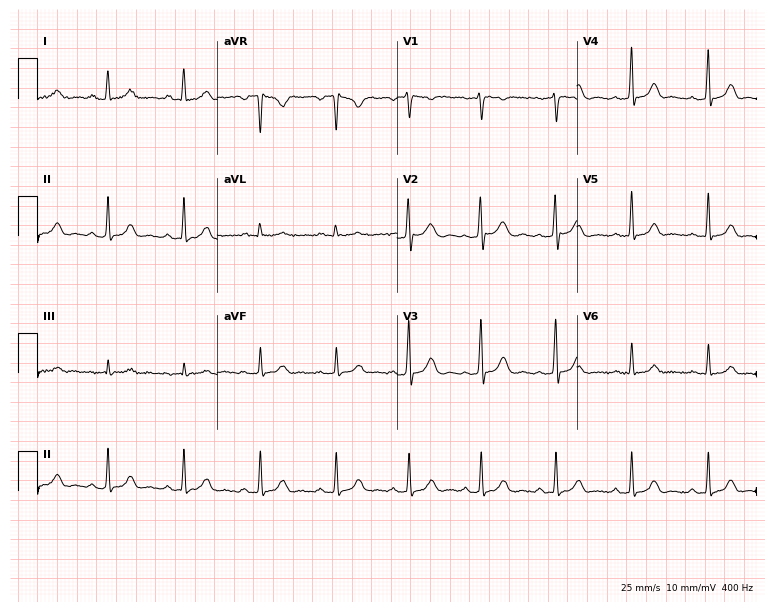
Standard 12-lead ECG recorded from a female, 38 years old (7.3-second recording at 400 Hz). None of these six findings is recorded: first-degree AV block, right bundle branch block, left bundle branch block, sinus bradycardia, atrial fibrillation, sinus tachycardia.